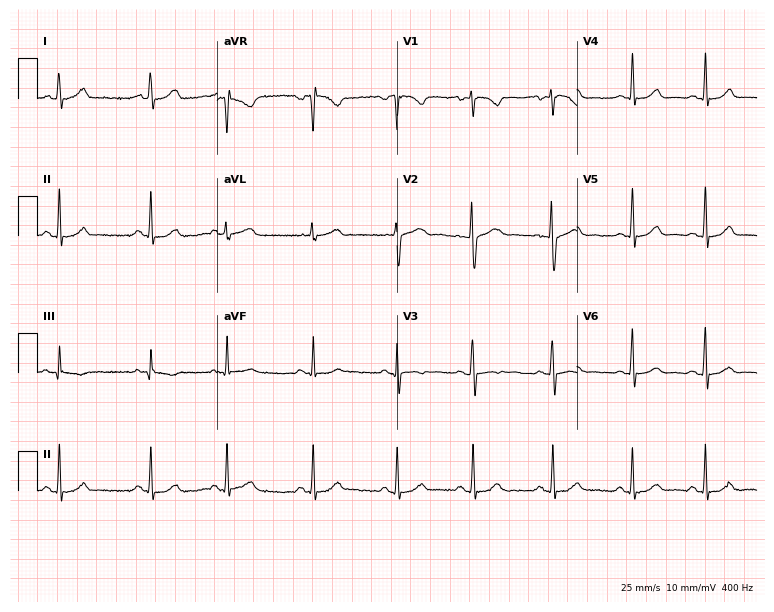
Standard 12-lead ECG recorded from a female patient, 19 years old (7.3-second recording at 400 Hz). Read as a normal ECG.